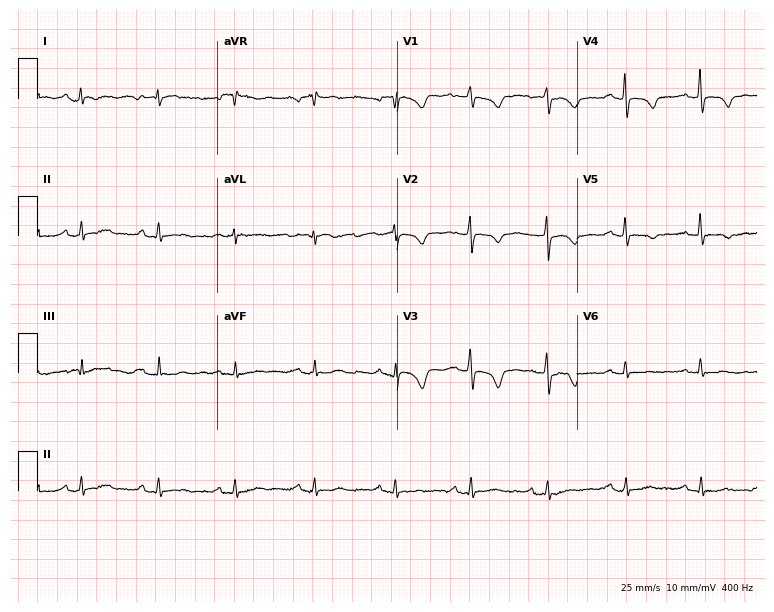
Resting 12-lead electrocardiogram (7.3-second recording at 400 Hz). Patient: a female, 60 years old. None of these six findings is recorded: first-degree AV block, right bundle branch block (RBBB), left bundle branch block (LBBB), sinus bradycardia, atrial fibrillation (AF), sinus tachycardia.